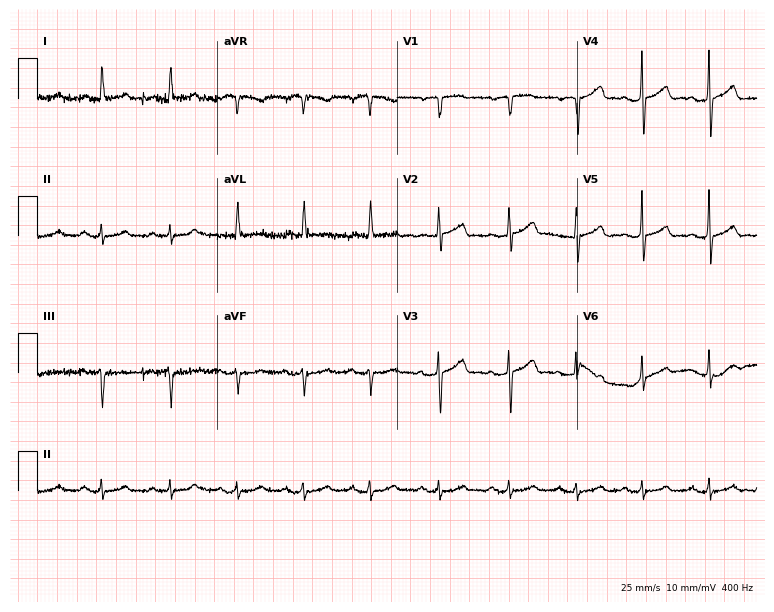
12-lead ECG from a woman, 77 years old (7.3-second recording at 400 Hz). Recorded interpretation: within normal limits.